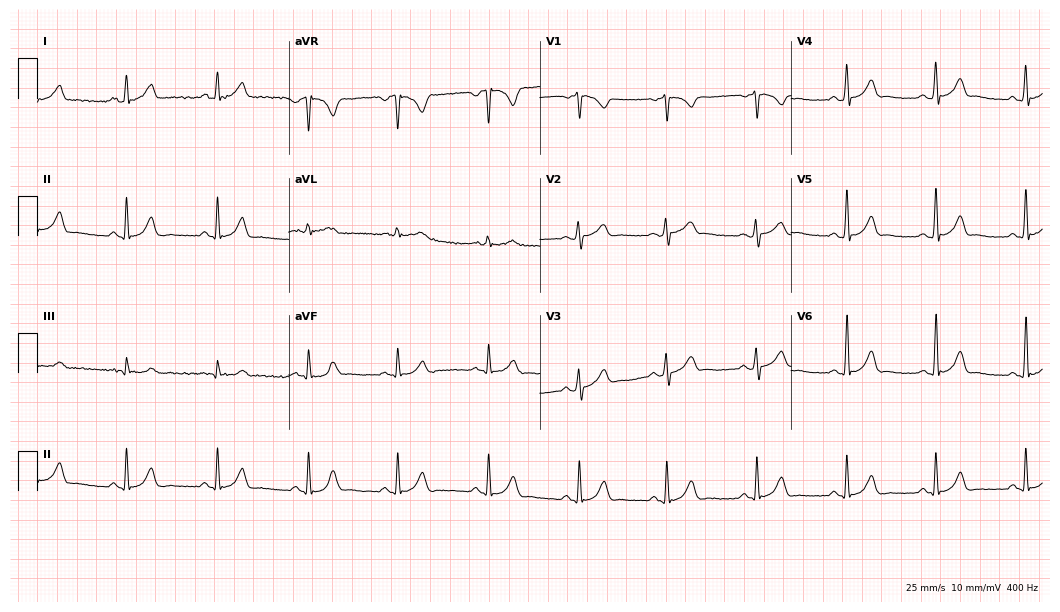
Standard 12-lead ECG recorded from a 29-year-old man. Read as a normal ECG.